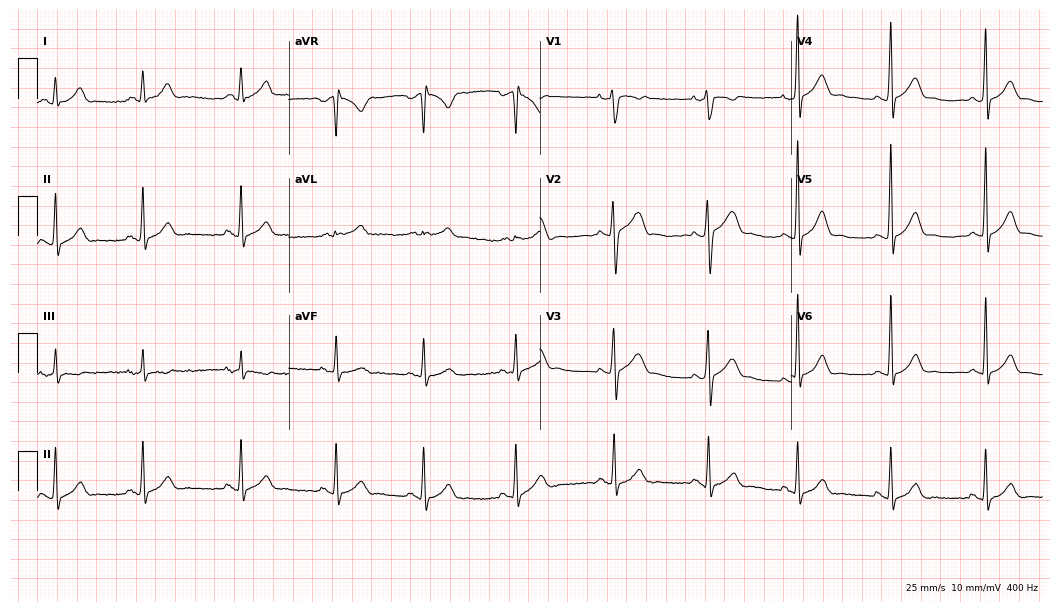
Electrocardiogram, a 27-year-old male patient. Overall reading on record: normal ECG.